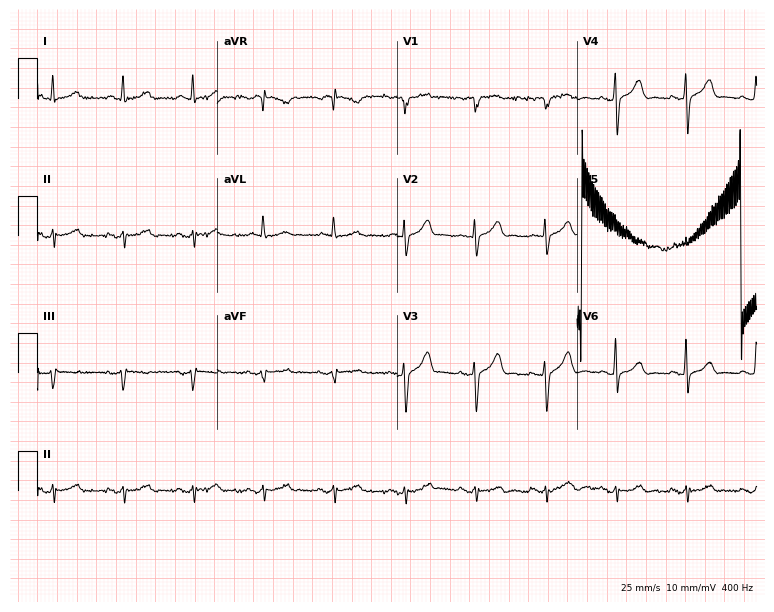
Standard 12-lead ECG recorded from a woman, 75 years old. None of these six findings is recorded: first-degree AV block, right bundle branch block (RBBB), left bundle branch block (LBBB), sinus bradycardia, atrial fibrillation (AF), sinus tachycardia.